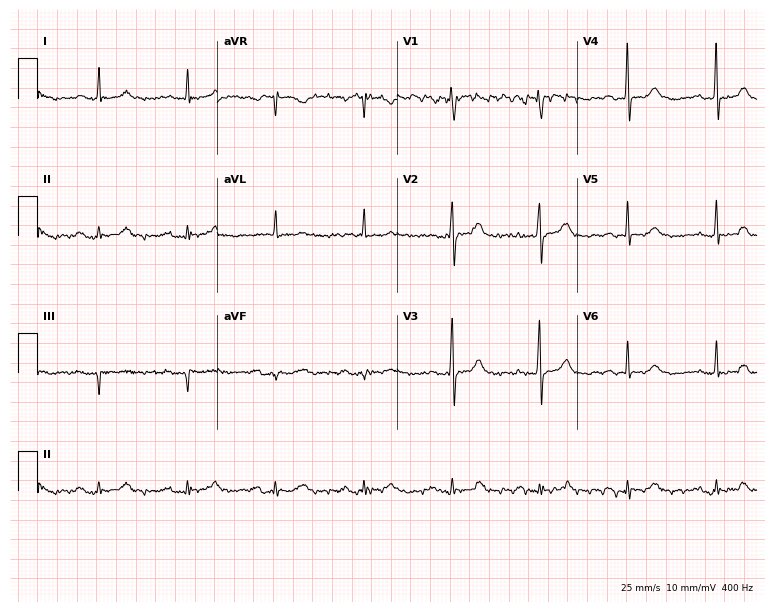
12-lead ECG from a 79-year-old female patient. Recorded interpretation: within normal limits.